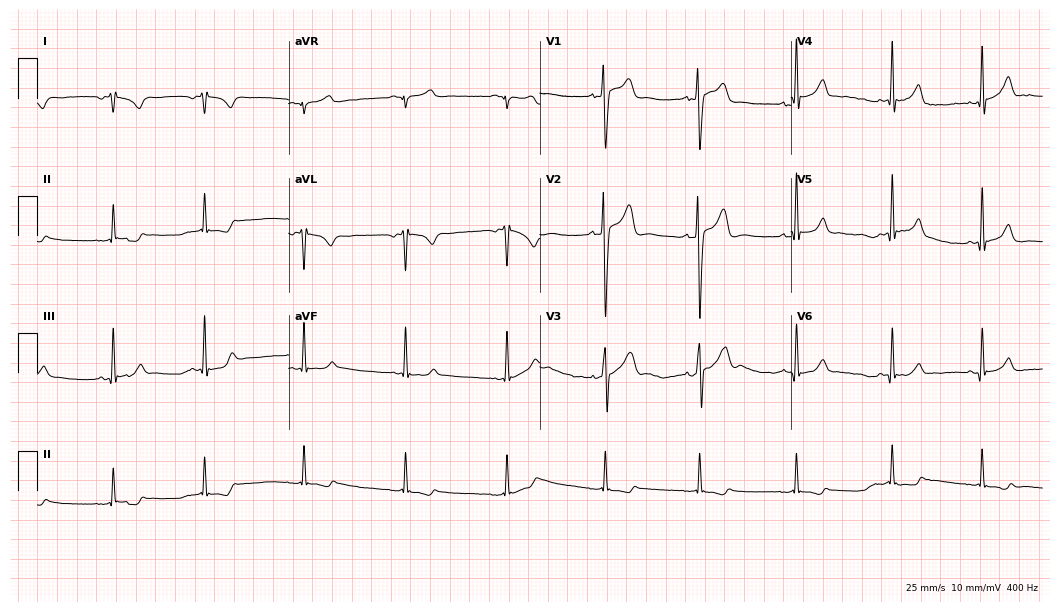
ECG — an 18-year-old man. Screened for six findings — first-degree AV block, right bundle branch block, left bundle branch block, sinus bradycardia, atrial fibrillation, sinus tachycardia — none is recorded. Only these six findings were labelled.